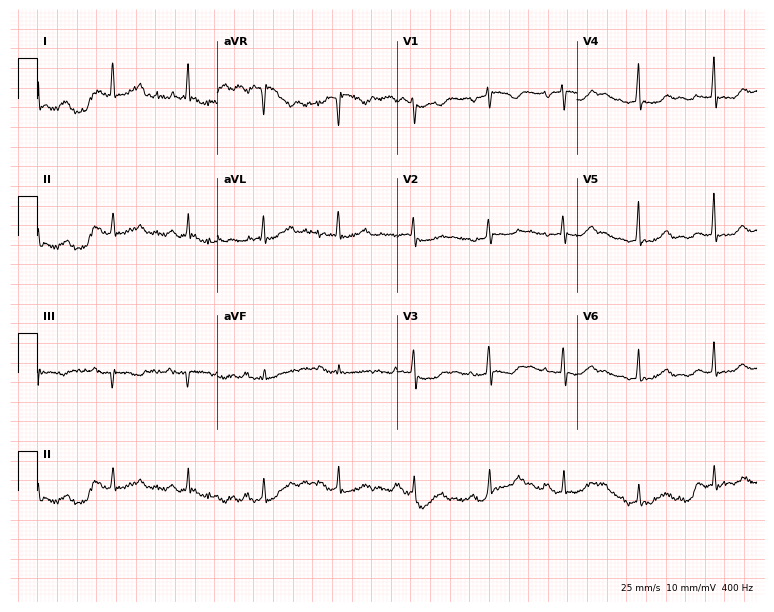
Electrocardiogram, a 69-year-old woman. Of the six screened findings (first-degree AV block, right bundle branch block, left bundle branch block, sinus bradycardia, atrial fibrillation, sinus tachycardia), none is recorded.